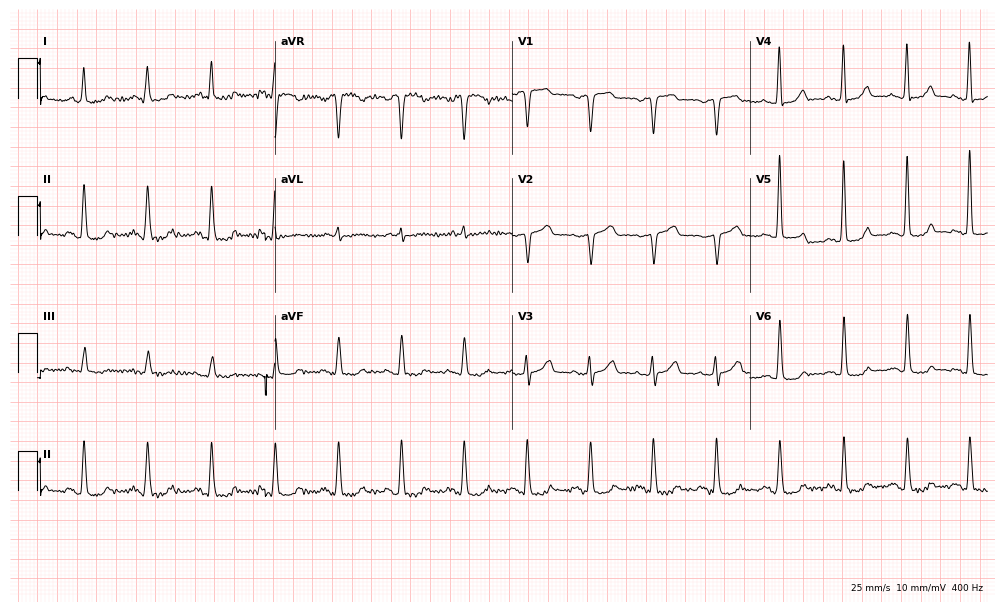
Resting 12-lead electrocardiogram. Patient: a 52-year-old woman. None of these six findings is recorded: first-degree AV block, right bundle branch block, left bundle branch block, sinus bradycardia, atrial fibrillation, sinus tachycardia.